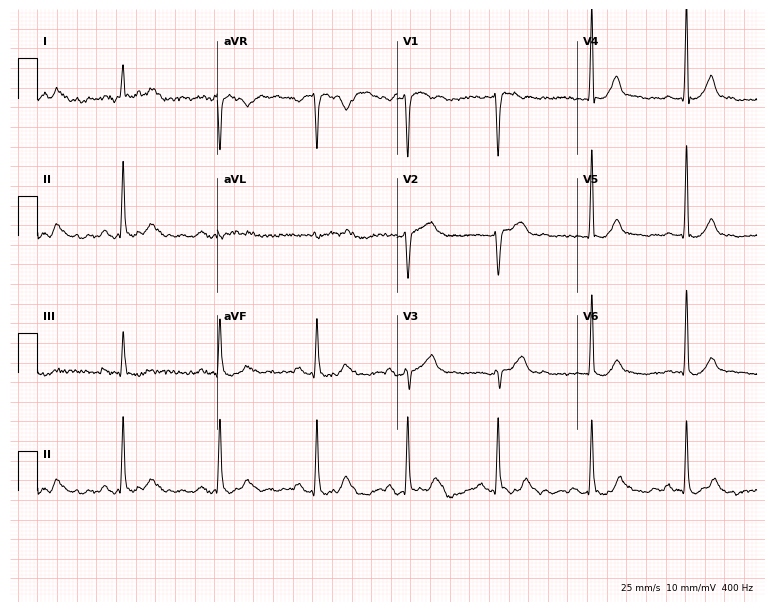
Electrocardiogram (7.3-second recording at 400 Hz), a female patient, 69 years old. Of the six screened findings (first-degree AV block, right bundle branch block, left bundle branch block, sinus bradycardia, atrial fibrillation, sinus tachycardia), none is recorded. Other findings, if any, are not listed.